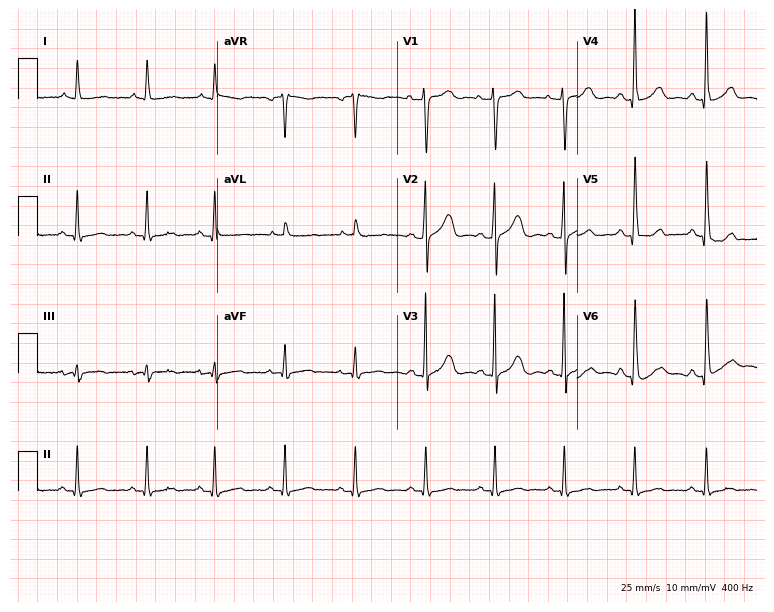
12-lead ECG from a 74-year-old female. Screened for six findings — first-degree AV block, right bundle branch block, left bundle branch block, sinus bradycardia, atrial fibrillation, sinus tachycardia — none is recorded.